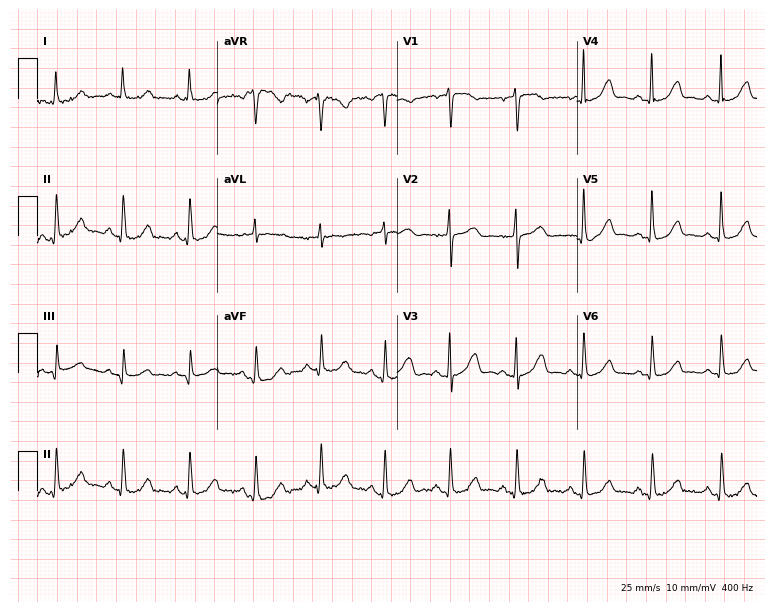
Standard 12-lead ECG recorded from a female, 75 years old. Read as a normal ECG.